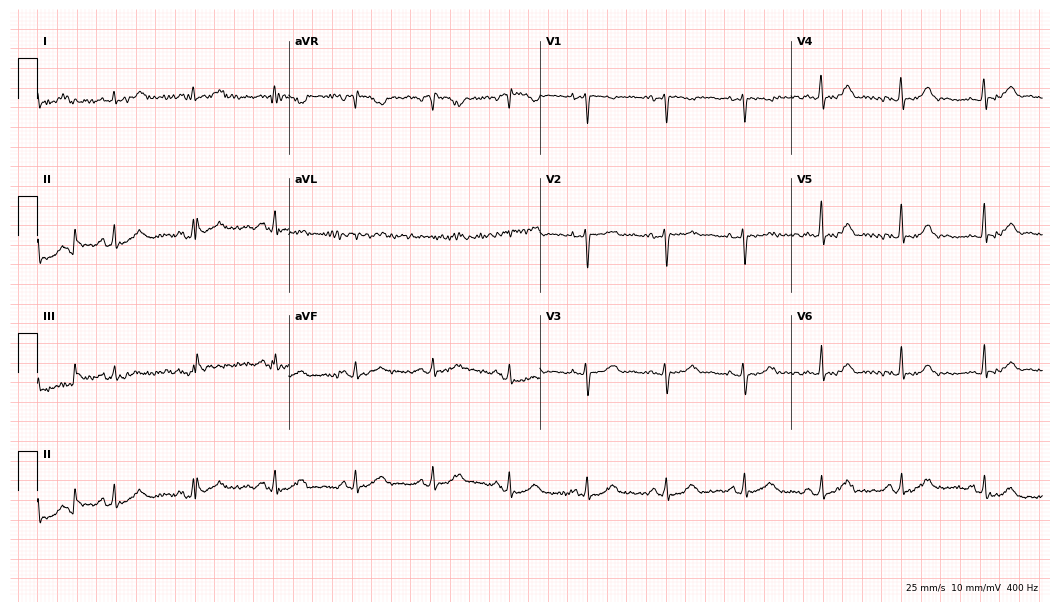
Standard 12-lead ECG recorded from a 41-year-old woman. None of these six findings is recorded: first-degree AV block, right bundle branch block (RBBB), left bundle branch block (LBBB), sinus bradycardia, atrial fibrillation (AF), sinus tachycardia. Only these six findings were labelled.